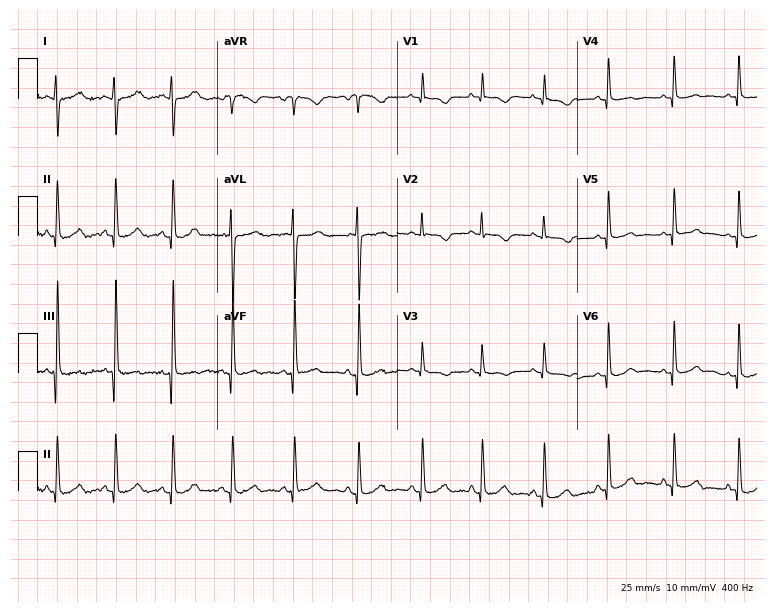
Resting 12-lead electrocardiogram (7.3-second recording at 400 Hz). Patient: a 19-year-old female. None of these six findings is recorded: first-degree AV block, right bundle branch block, left bundle branch block, sinus bradycardia, atrial fibrillation, sinus tachycardia.